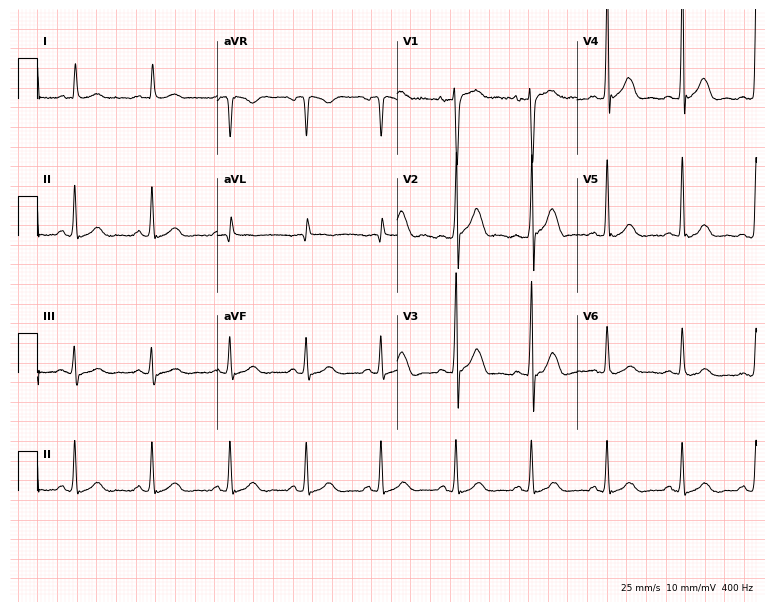
Standard 12-lead ECG recorded from a male, 35 years old (7.3-second recording at 400 Hz). None of these six findings is recorded: first-degree AV block, right bundle branch block, left bundle branch block, sinus bradycardia, atrial fibrillation, sinus tachycardia. Only these six findings were labelled.